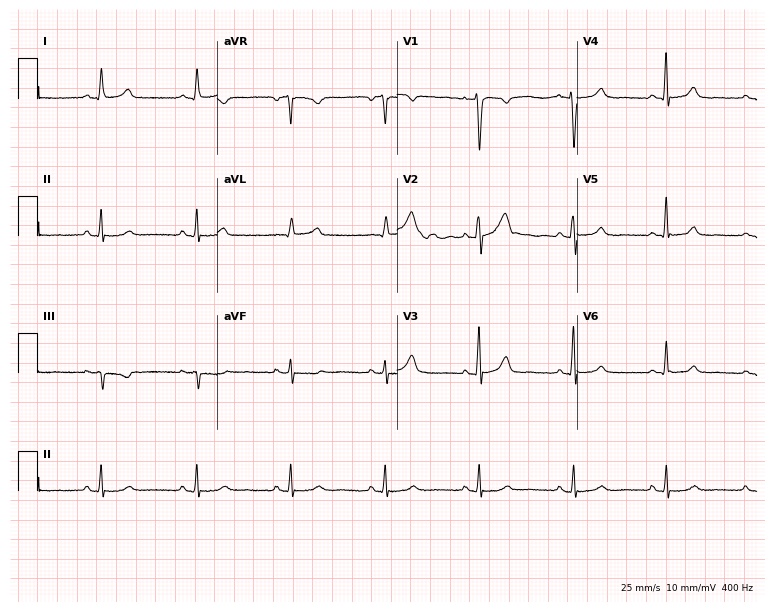
12-lead ECG from a female, 46 years old. Screened for six findings — first-degree AV block, right bundle branch block (RBBB), left bundle branch block (LBBB), sinus bradycardia, atrial fibrillation (AF), sinus tachycardia — none is recorded. Other findings, if any, are not listed.